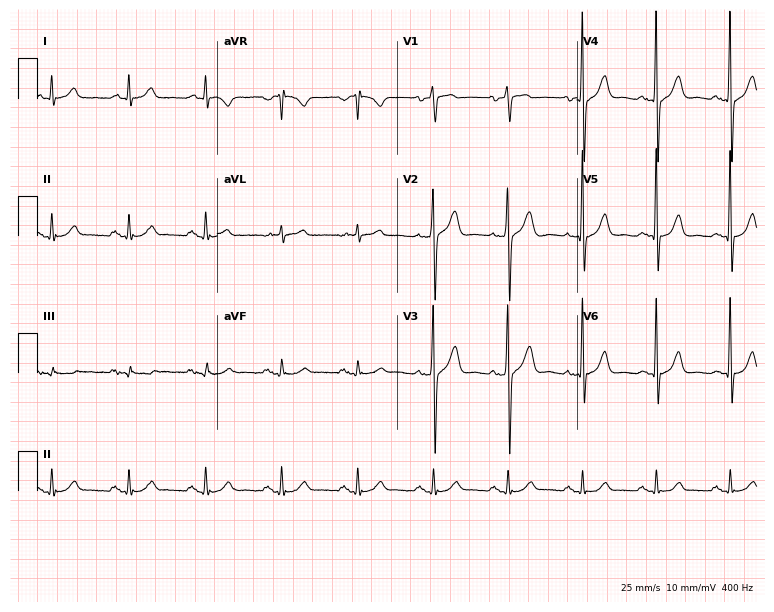
Electrocardiogram, a 45-year-old male patient. Overall reading on record: normal ECG.